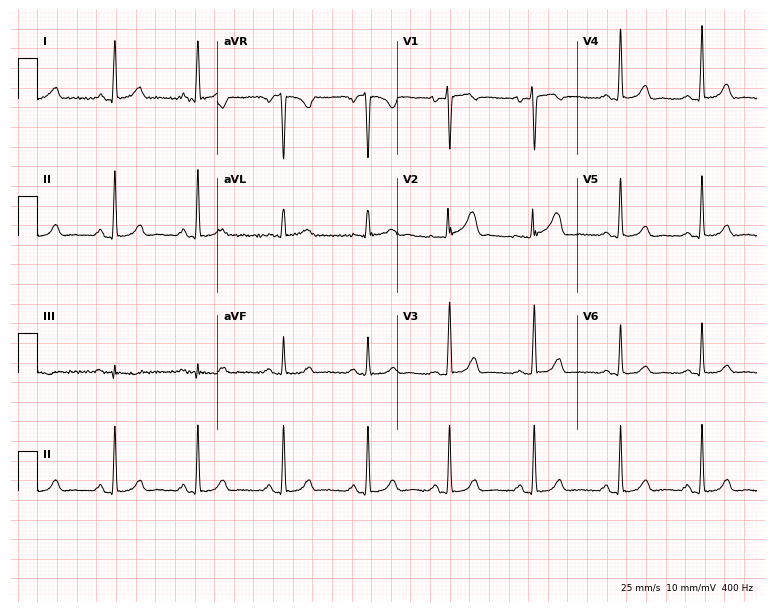
Electrocardiogram, a female, 31 years old. Overall reading on record: normal ECG.